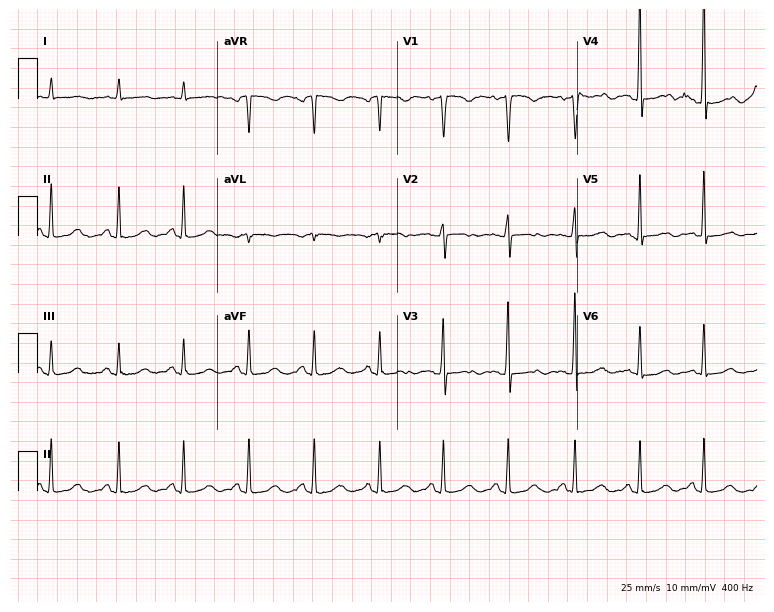
ECG (7.3-second recording at 400 Hz) — a 47-year-old female. Screened for six findings — first-degree AV block, right bundle branch block, left bundle branch block, sinus bradycardia, atrial fibrillation, sinus tachycardia — none is recorded. Findings outside these six are not listed.